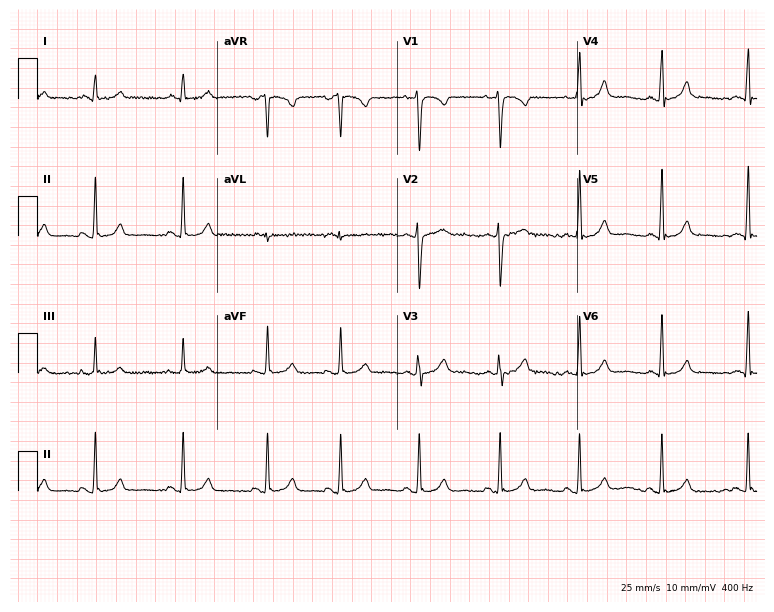
ECG (7.3-second recording at 400 Hz) — a female, 35 years old. Screened for six findings — first-degree AV block, right bundle branch block, left bundle branch block, sinus bradycardia, atrial fibrillation, sinus tachycardia — none is recorded. Findings outside these six are not listed.